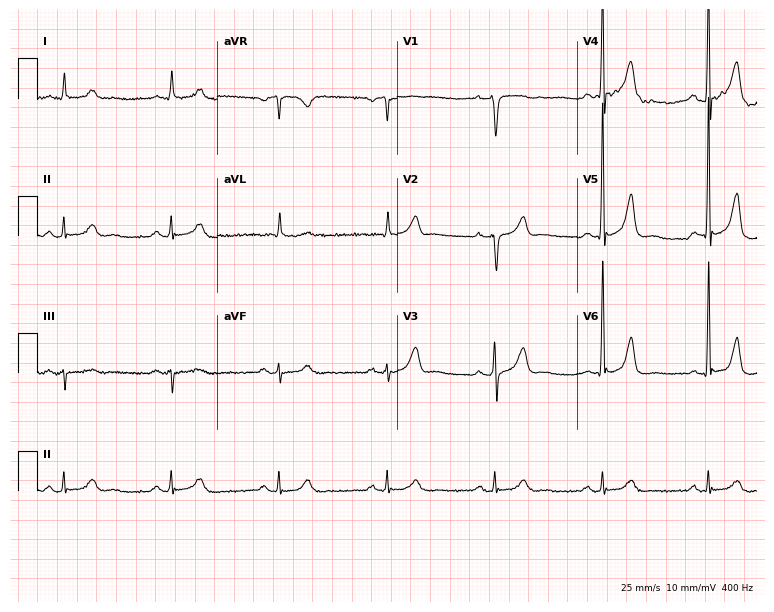
12-lead ECG (7.3-second recording at 400 Hz) from a man, 66 years old. Labelled as a normal ECG.